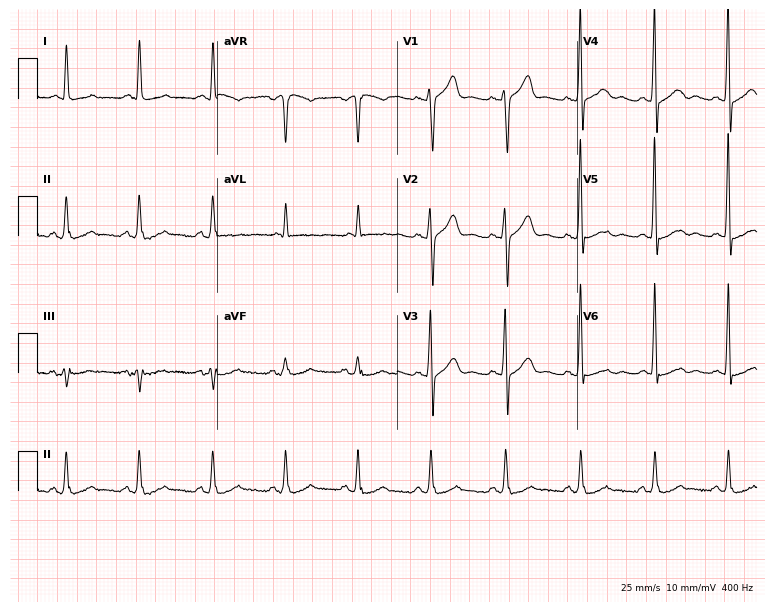
Electrocardiogram (7.3-second recording at 400 Hz), a 64-year-old man. Of the six screened findings (first-degree AV block, right bundle branch block (RBBB), left bundle branch block (LBBB), sinus bradycardia, atrial fibrillation (AF), sinus tachycardia), none is recorded.